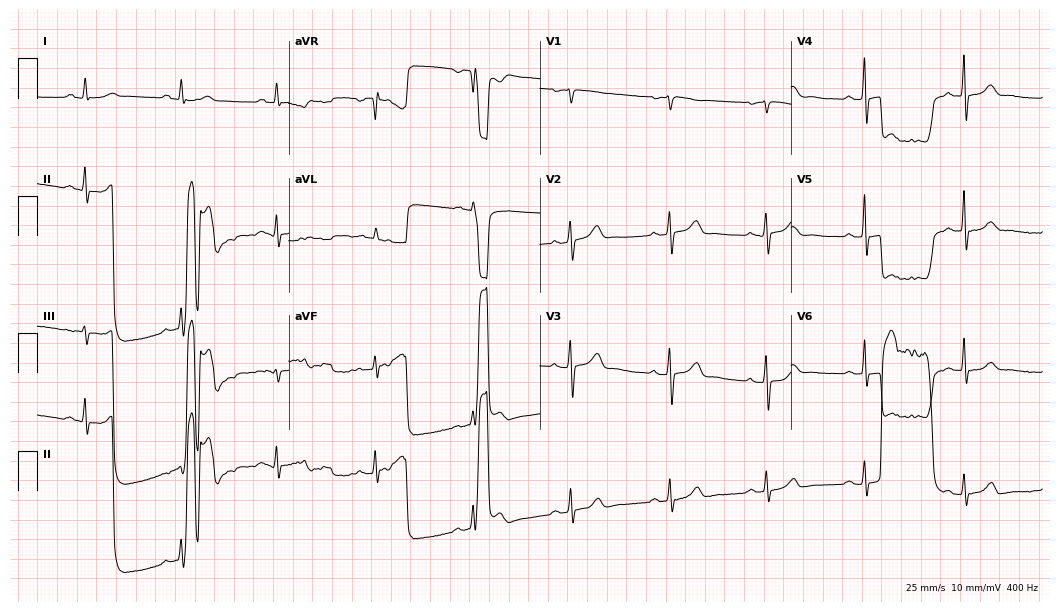
Resting 12-lead electrocardiogram. Patient: a 55-year-old male. None of these six findings is recorded: first-degree AV block, right bundle branch block, left bundle branch block, sinus bradycardia, atrial fibrillation, sinus tachycardia. Other findings, if any, are not listed.